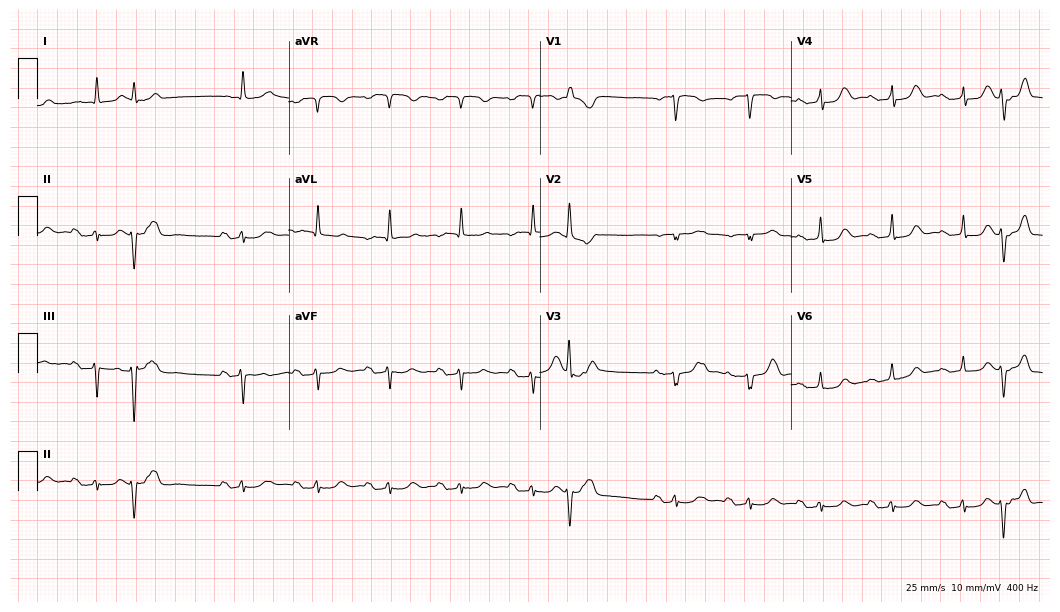
12-lead ECG from a female, 69 years old. Shows first-degree AV block.